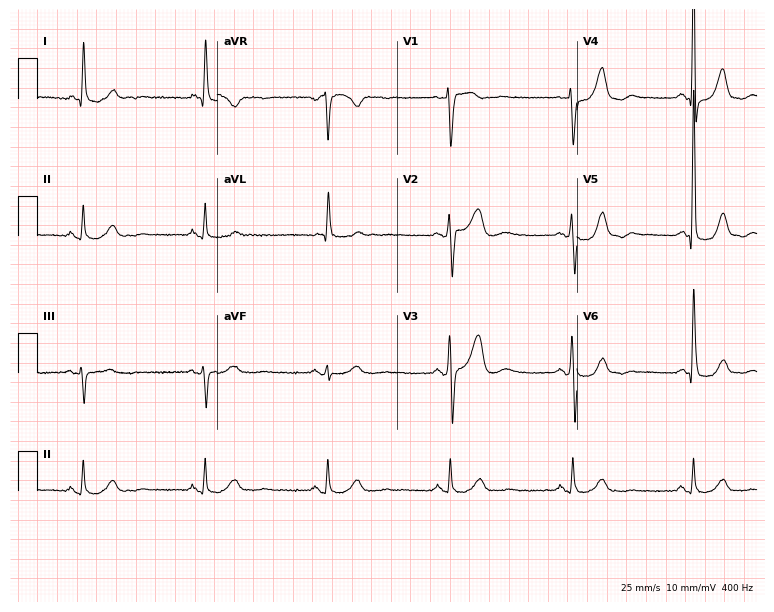
12-lead ECG from a 79-year-old male patient (7.3-second recording at 400 Hz). Shows sinus bradycardia (a sinus rate of 50 beats per minute or less).